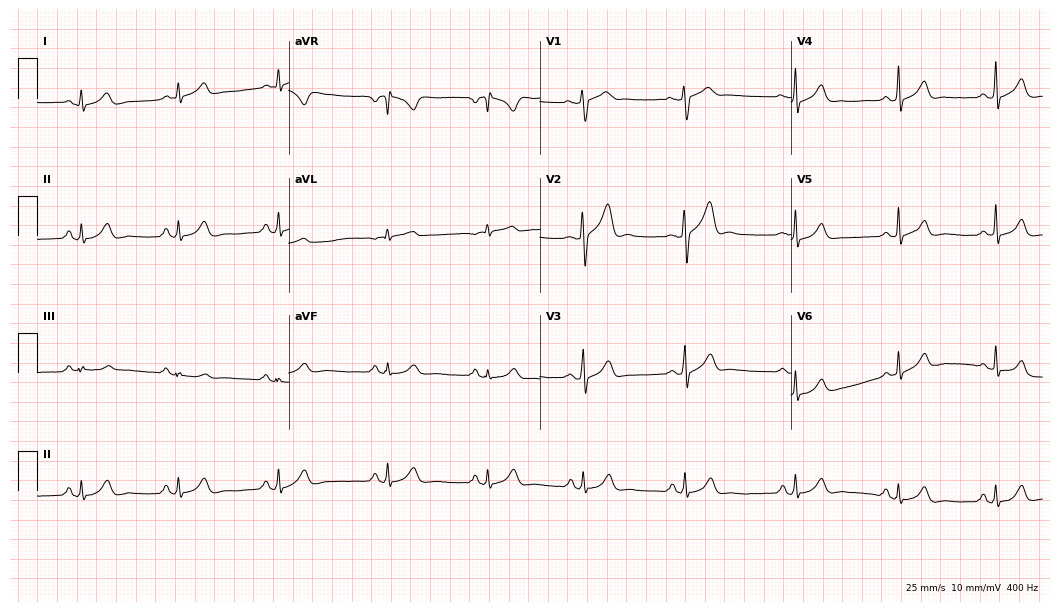
12-lead ECG from a male, 30 years old (10.2-second recording at 400 Hz). No first-degree AV block, right bundle branch block, left bundle branch block, sinus bradycardia, atrial fibrillation or sinus tachycardia recorded for this tracing. Findings outside these six are not listed.